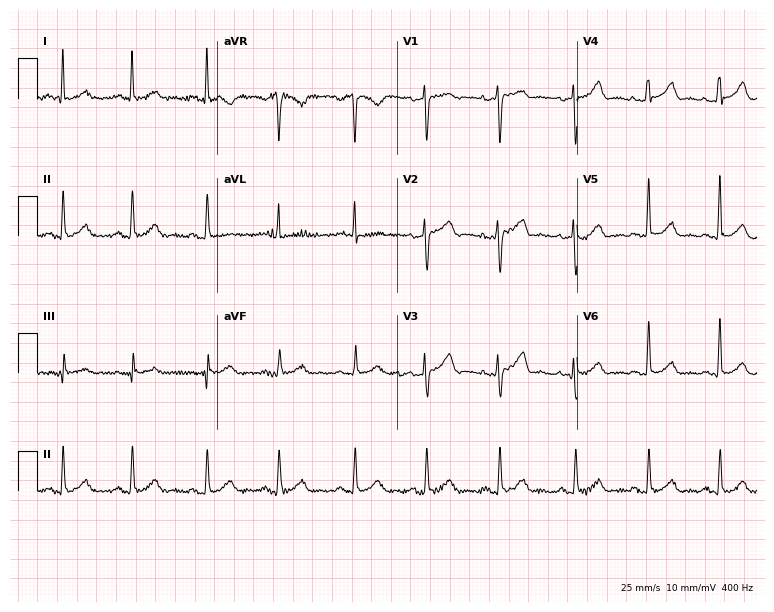
ECG (7.3-second recording at 400 Hz) — a female, 53 years old. Screened for six findings — first-degree AV block, right bundle branch block (RBBB), left bundle branch block (LBBB), sinus bradycardia, atrial fibrillation (AF), sinus tachycardia — none is recorded.